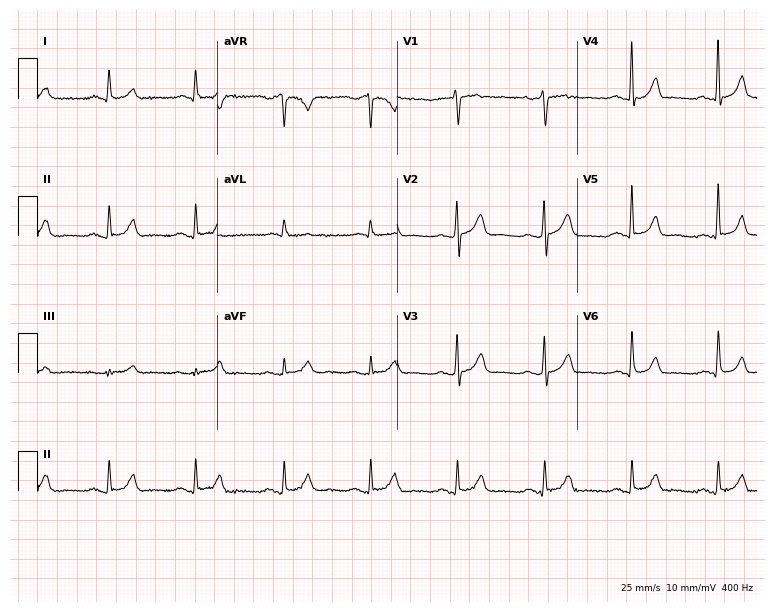
Standard 12-lead ECG recorded from a 72-year-old male patient (7.3-second recording at 400 Hz). Read as a normal ECG.